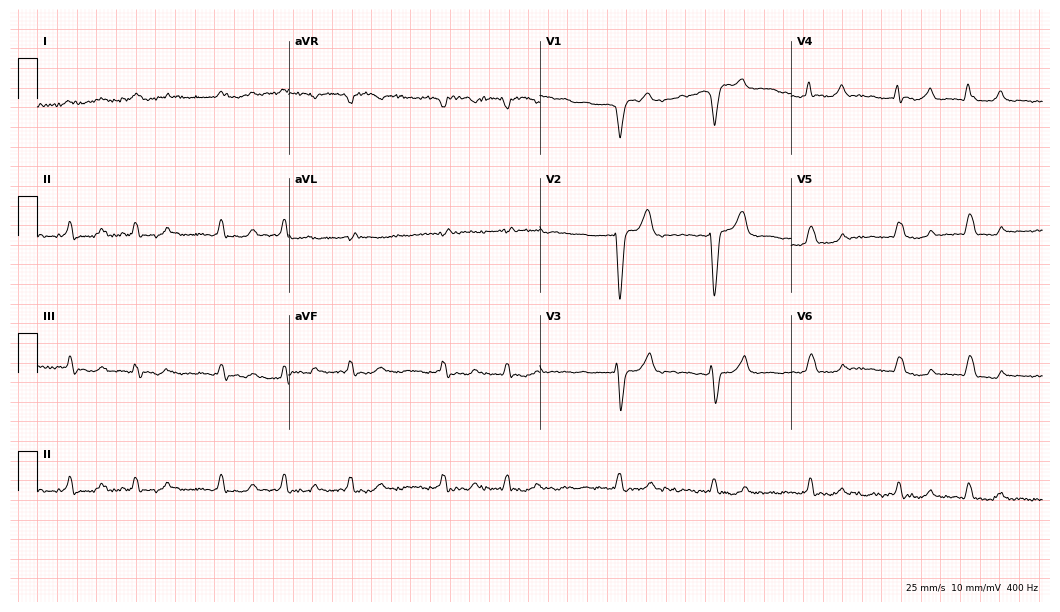
12-lead ECG from a female, 80 years old (10.2-second recording at 400 Hz). Shows atrial fibrillation.